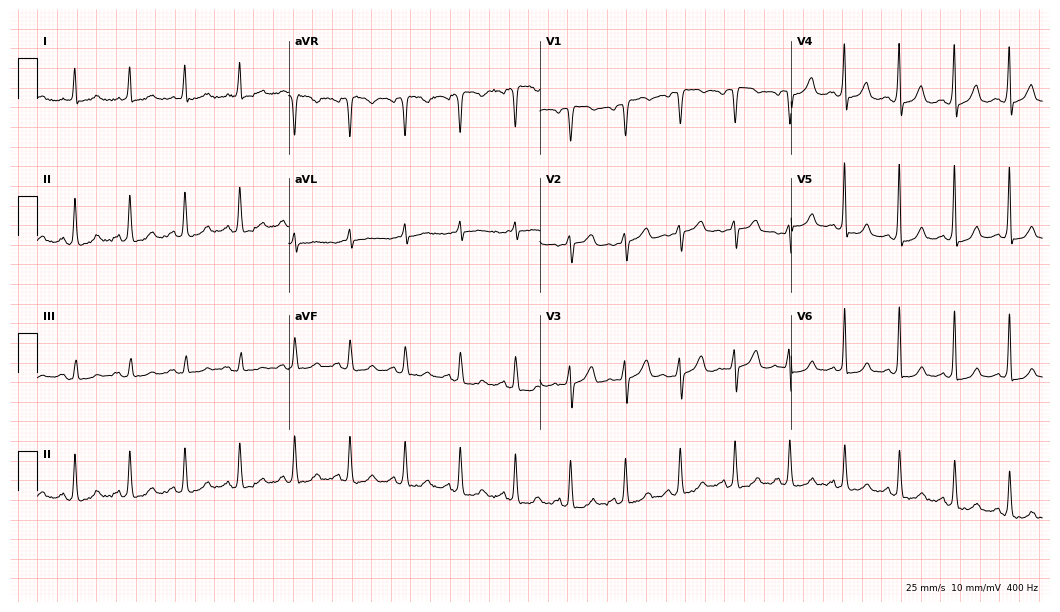
ECG (10.2-second recording at 400 Hz) — a 71-year-old female. Screened for six findings — first-degree AV block, right bundle branch block (RBBB), left bundle branch block (LBBB), sinus bradycardia, atrial fibrillation (AF), sinus tachycardia — none is recorded.